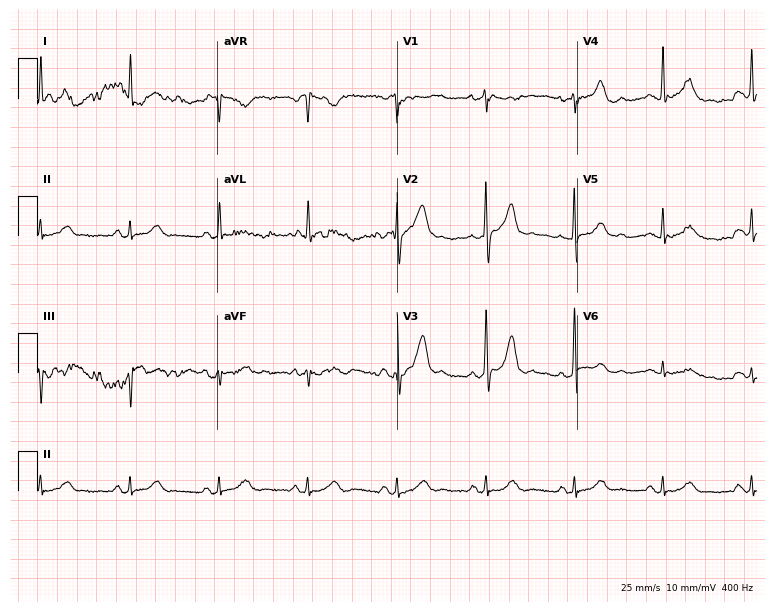
12-lead ECG from a 75-year-old man. Recorded interpretation: within normal limits.